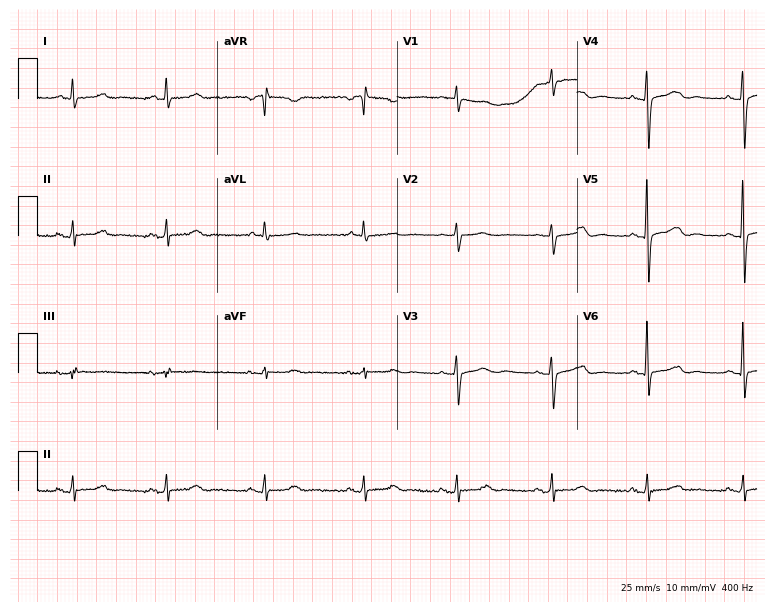
12-lead ECG from a 66-year-old female. Labelled as a normal ECG.